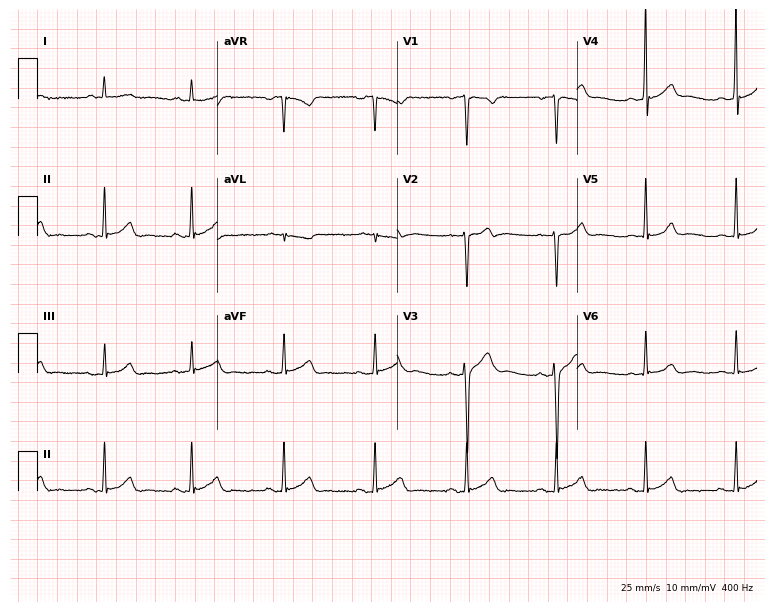
ECG — a man, 21 years old. Screened for six findings — first-degree AV block, right bundle branch block (RBBB), left bundle branch block (LBBB), sinus bradycardia, atrial fibrillation (AF), sinus tachycardia — none is recorded. Only these six findings were labelled.